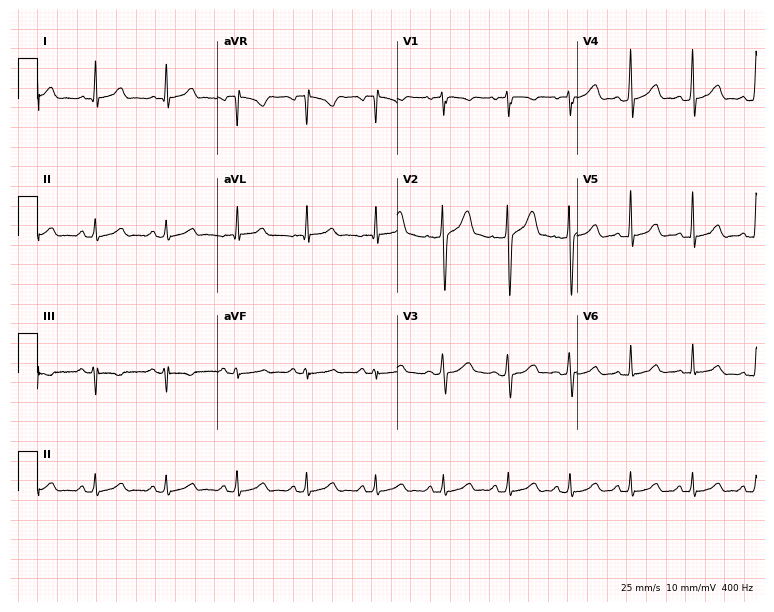
Standard 12-lead ECG recorded from a man, 31 years old (7.3-second recording at 400 Hz). Read as a normal ECG.